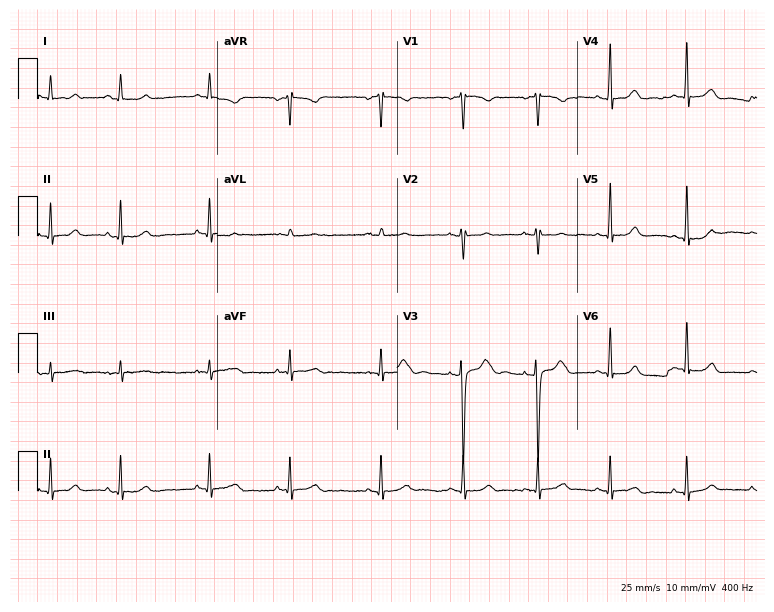
Standard 12-lead ECG recorded from an 18-year-old female patient. None of these six findings is recorded: first-degree AV block, right bundle branch block (RBBB), left bundle branch block (LBBB), sinus bradycardia, atrial fibrillation (AF), sinus tachycardia. Findings outside these six are not listed.